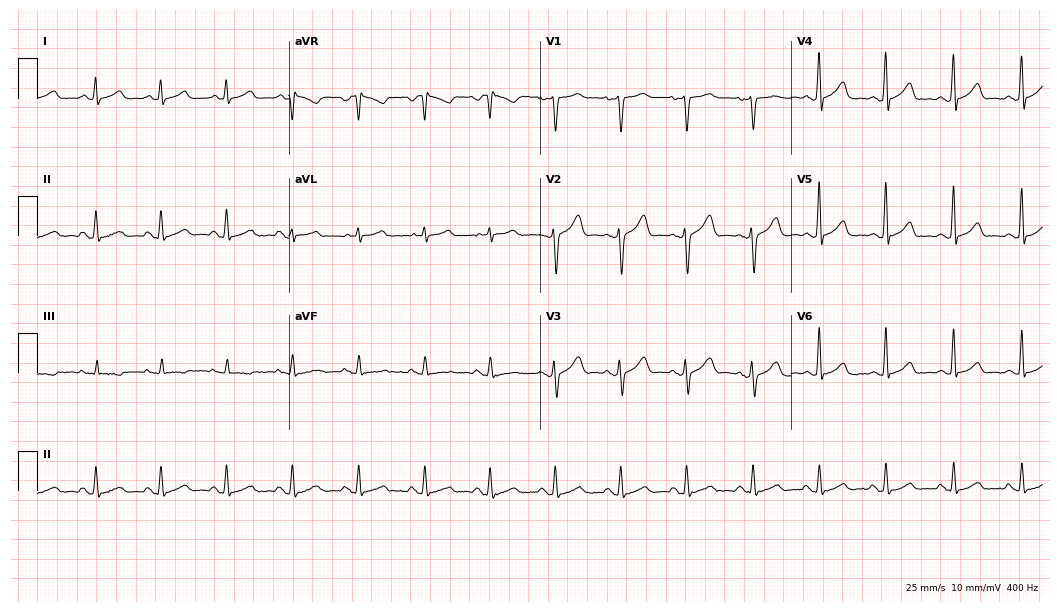
Electrocardiogram (10.2-second recording at 400 Hz), a 41-year-old woman. Overall reading on record: normal ECG.